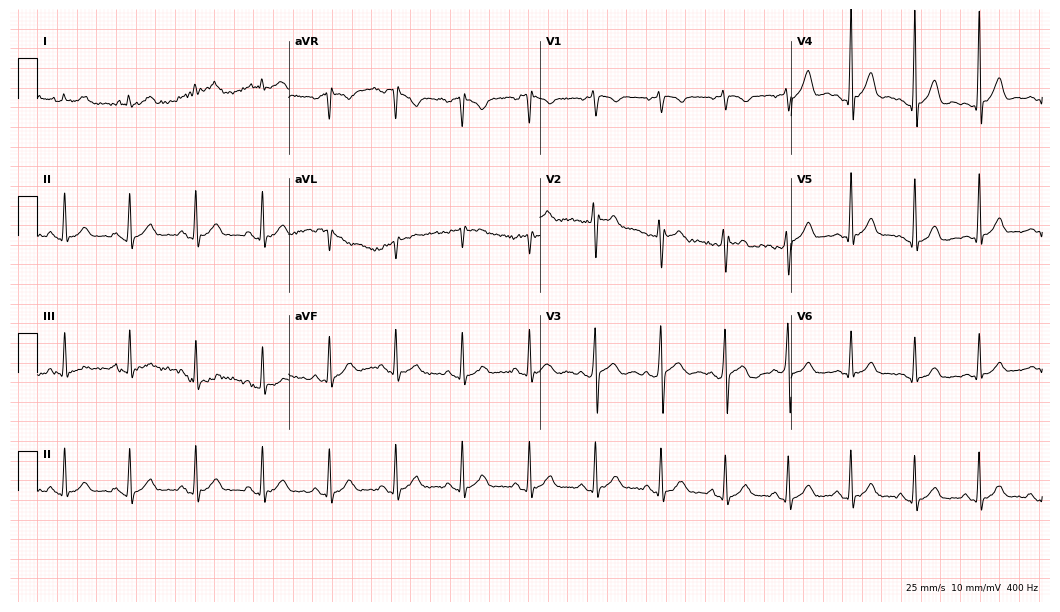
Electrocardiogram, a male patient, 25 years old. Overall reading on record: normal ECG.